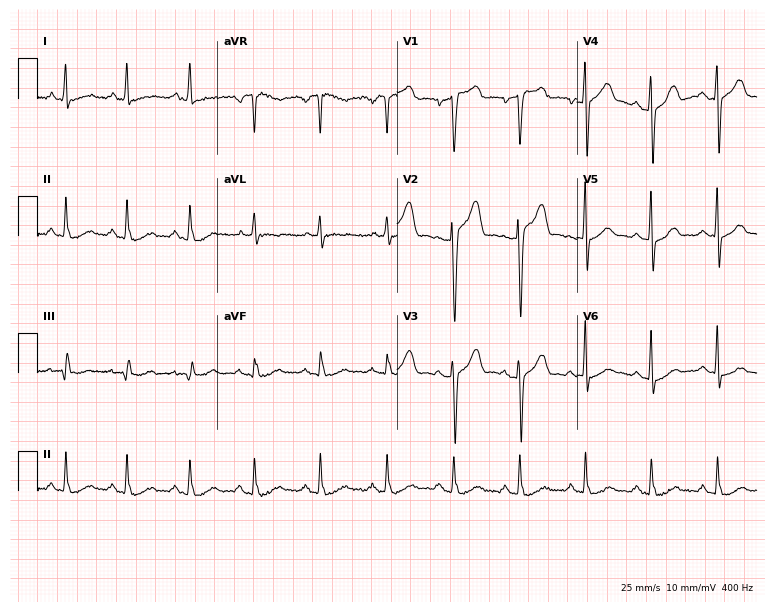
Resting 12-lead electrocardiogram (7.3-second recording at 400 Hz). Patient: a 47-year-old male. Read as a normal ECG.